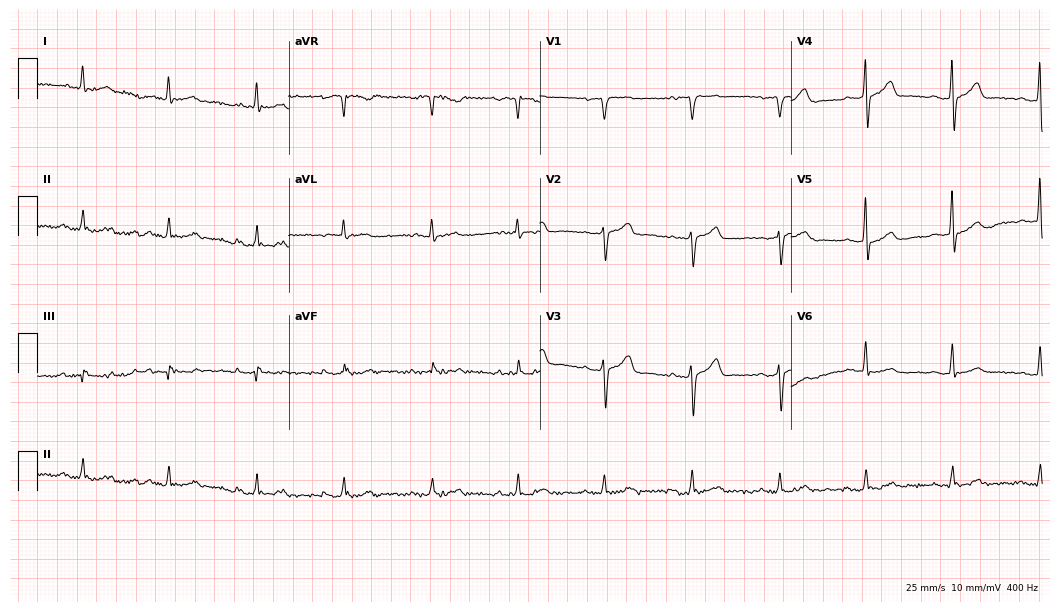
12-lead ECG from an 82-year-old man. Labelled as a normal ECG.